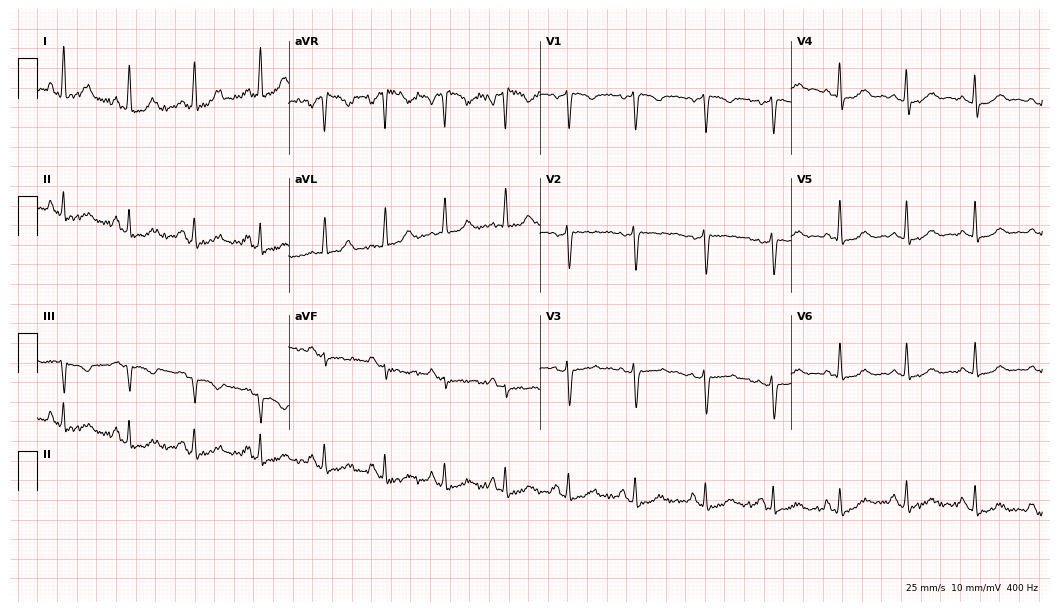
12-lead ECG from a female patient, 45 years old. Labelled as a normal ECG.